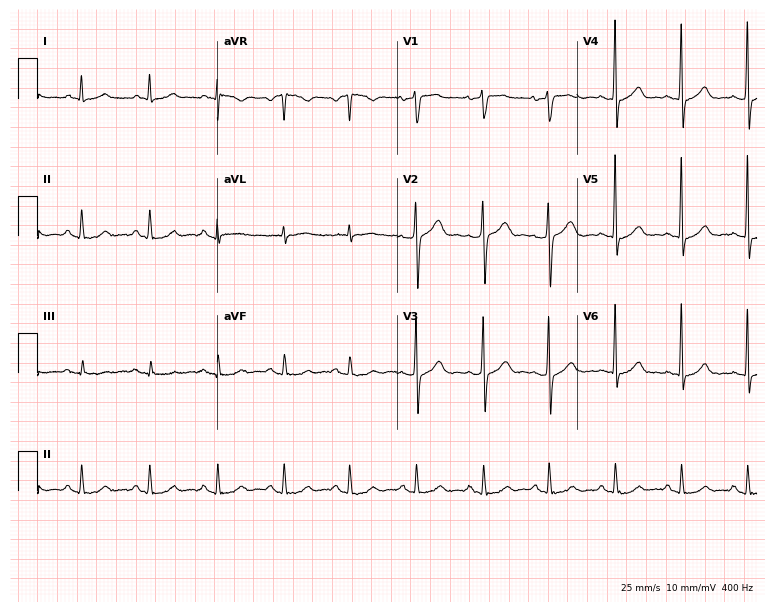
12-lead ECG from a 48-year-old man. Screened for six findings — first-degree AV block, right bundle branch block (RBBB), left bundle branch block (LBBB), sinus bradycardia, atrial fibrillation (AF), sinus tachycardia — none is recorded.